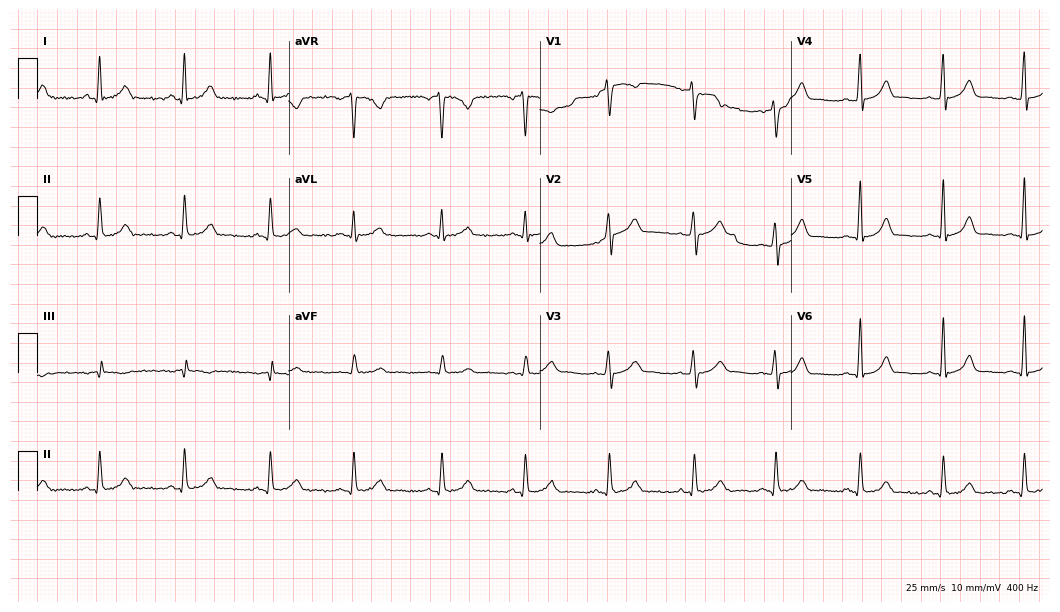
ECG — a 30-year-old female. Labelled as a normal ECG.